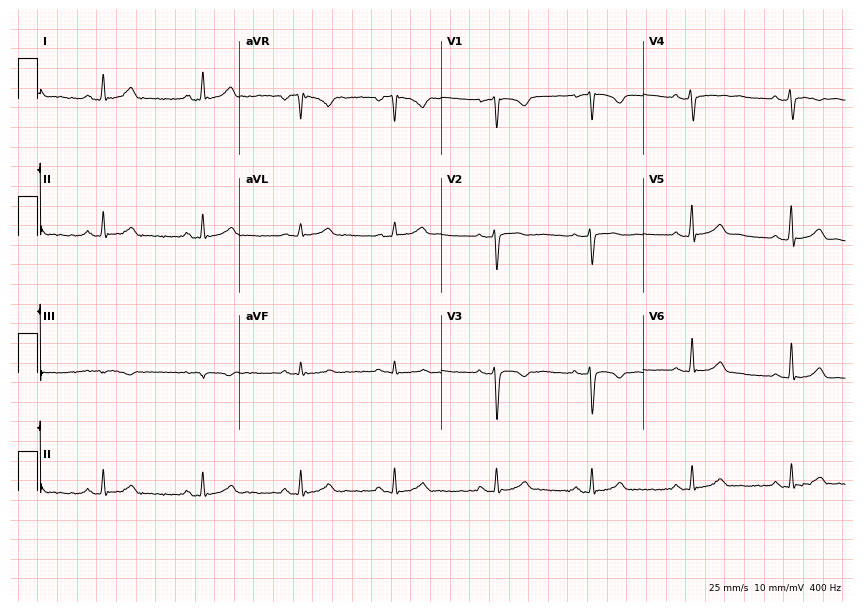
12-lead ECG from a 31-year-old female patient. No first-degree AV block, right bundle branch block, left bundle branch block, sinus bradycardia, atrial fibrillation or sinus tachycardia recorded for this tracing. Other findings, if any, are not listed.